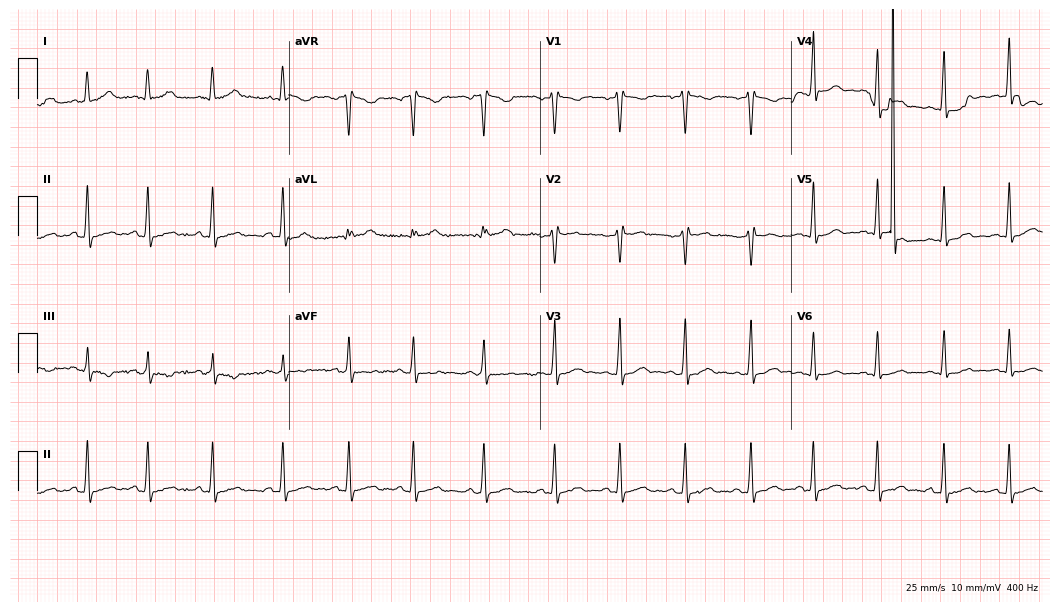
Electrocardiogram (10.2-second recording at 400 Hz), a female patient, 20 years old. Of the six screened findings (first-degree AV block, right bundle branch block, left bundle branch block, sinus bradycardia, atrial fibrillation, sinus tachycardia), none is recorded. Findings outside these six are not listed.